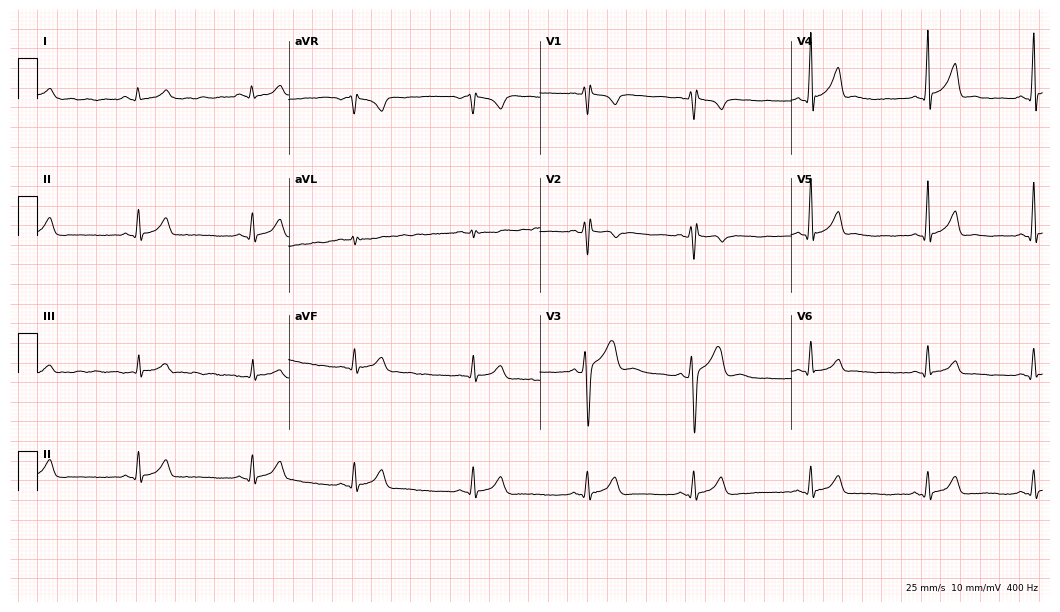
ECG — a male, 22 years old. Screened for six findings — first-degree AV block, right bundle branch block (RBBB), left bundle branch block (LBBB), sinus bradycardia, atrial fibrillation (AF), sinus tachycardia — none is recorded. Other findings, if any, are not listed.